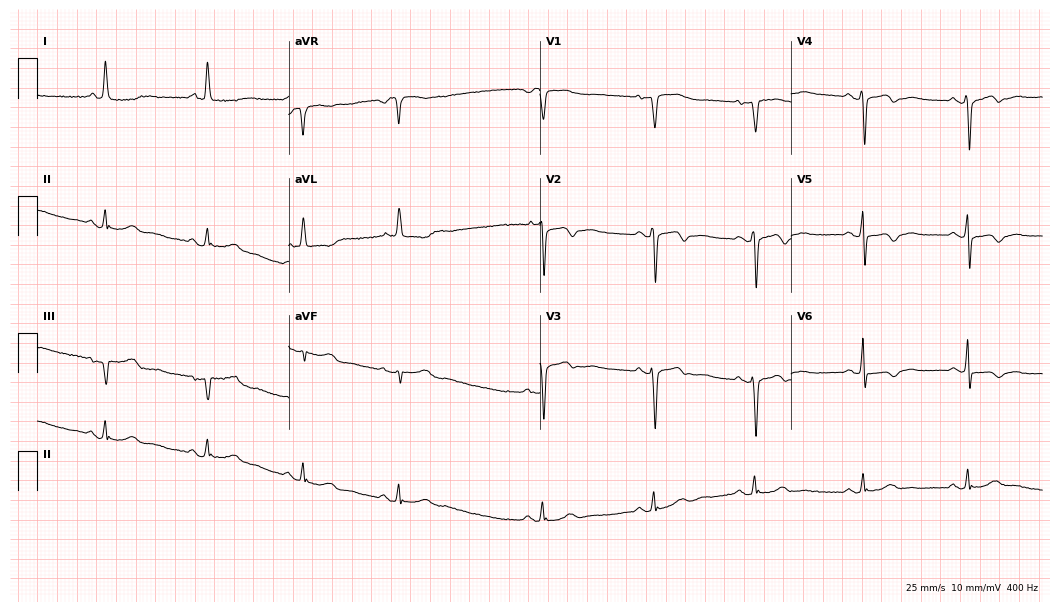
ECG (10.2-second recording at 400 Hz) — a 67-year-old female. Screened for six findings — first-degree AV block, right bundle branch block (RBBB), left bundle branch block (LBBB), sinus bradycardia, atrial fibrillation (AF), sinus tachycardia — none is recorded.